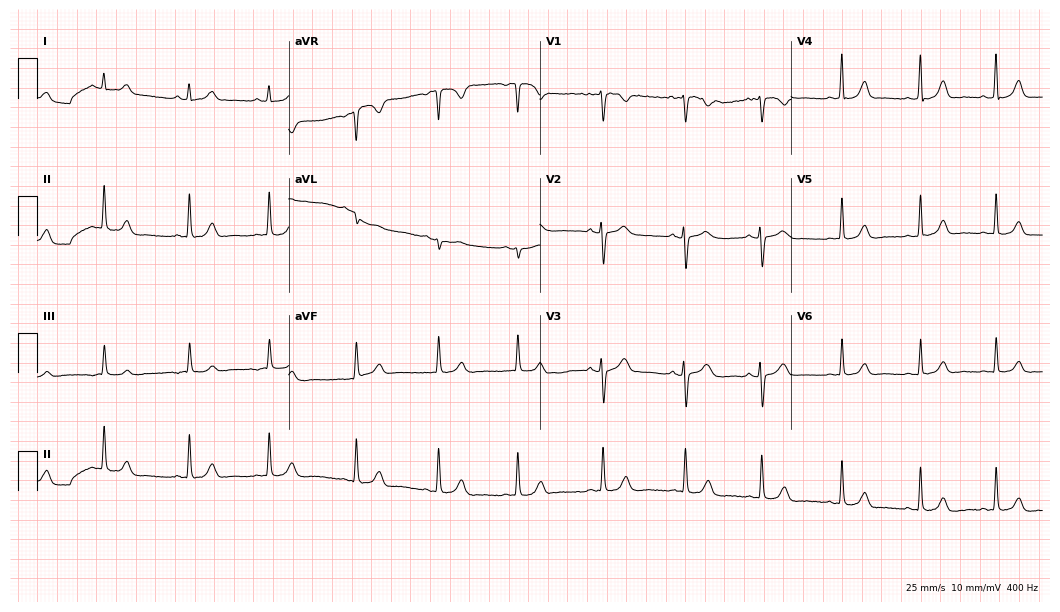
Resting 12-lead electrocardiogram. Patient: a female, 36 years old. Read as a normal ECG.